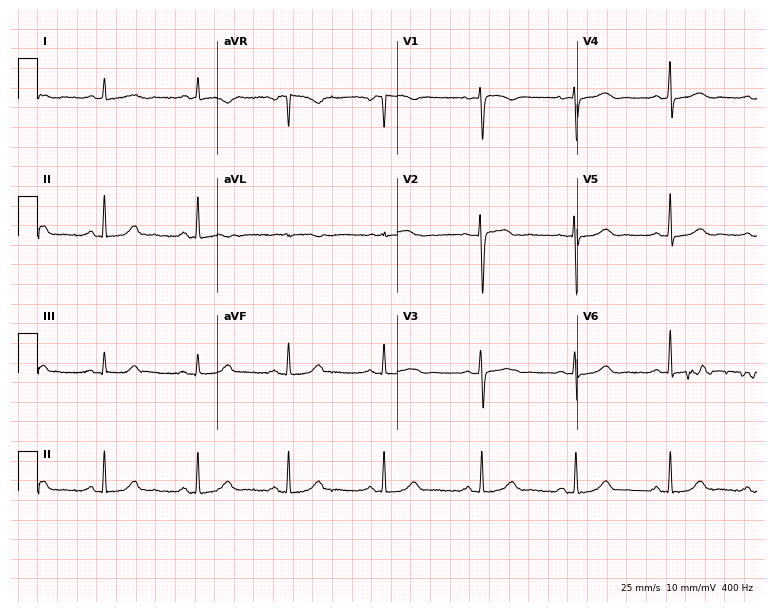
12-lead ECG from a woman, 46 years old. Recorded interpretation: within normal limits.